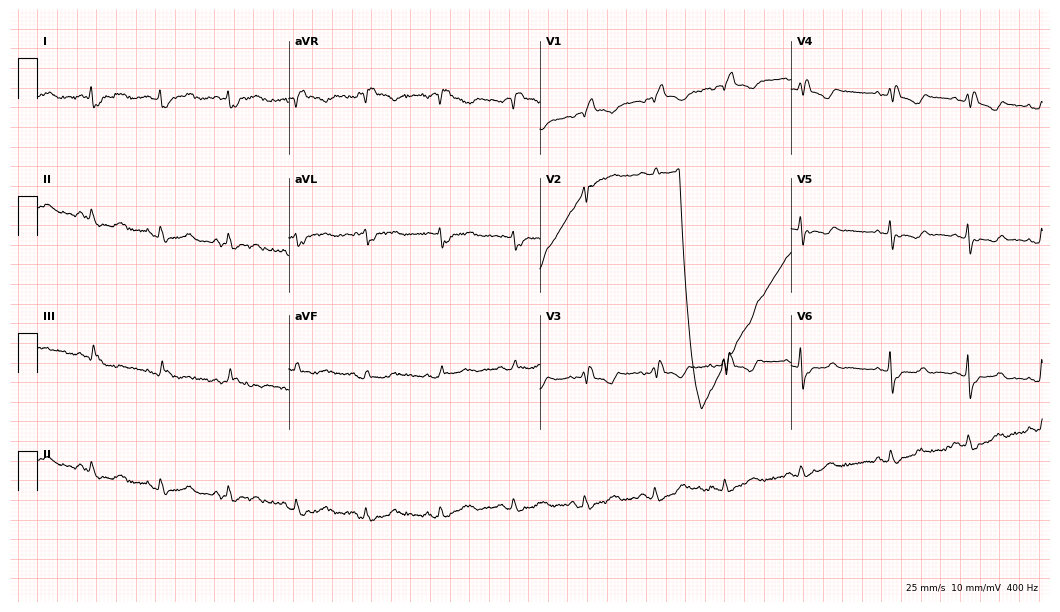
Standard 12-lead ECG recorded from a female patient, 80 years old. None of these six findings is recorded: first-degree AV block, right bundle branch block, left bundle branch block, sinus bradycardia, atrial fibrillation, sinus tachycardia.